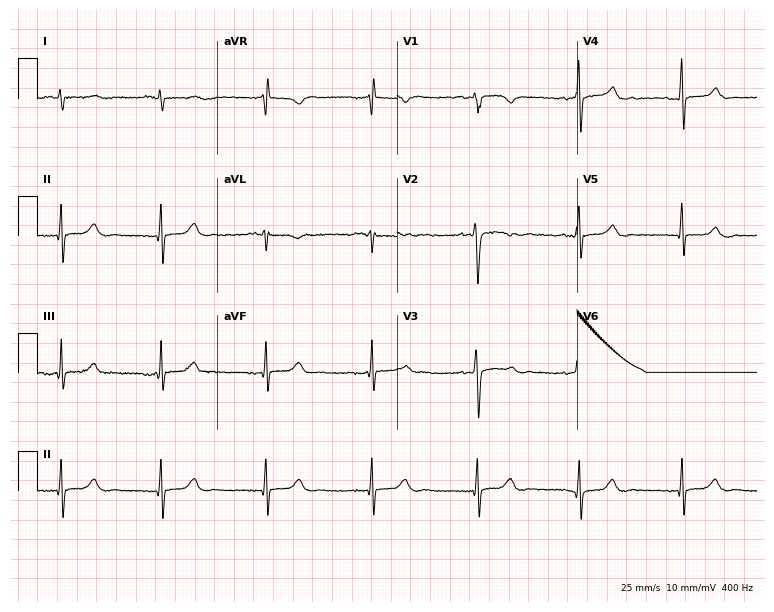
12-lead ECG from a 66-year-old woman. Screened for six findings — first-degree AV block, right bundle branch block (RBBB), left bundle branch block (LBBB), sinus bradycardia, atrial fibrillation (AF), sinus tachycardia — none is recorded. Only these six findings were labelled.